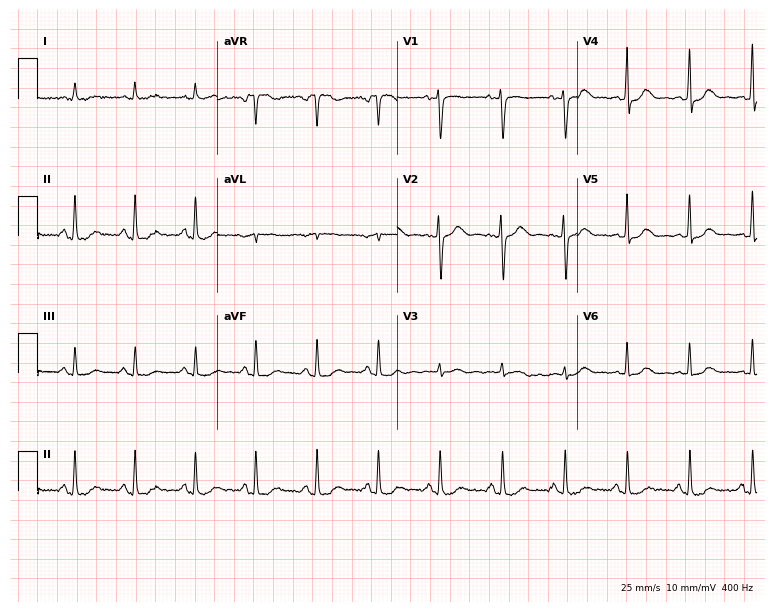
Electrocardiogram (7.3-second recording at 400 Hz), a female, 57 years old. Overall reading on record: normal ECG.